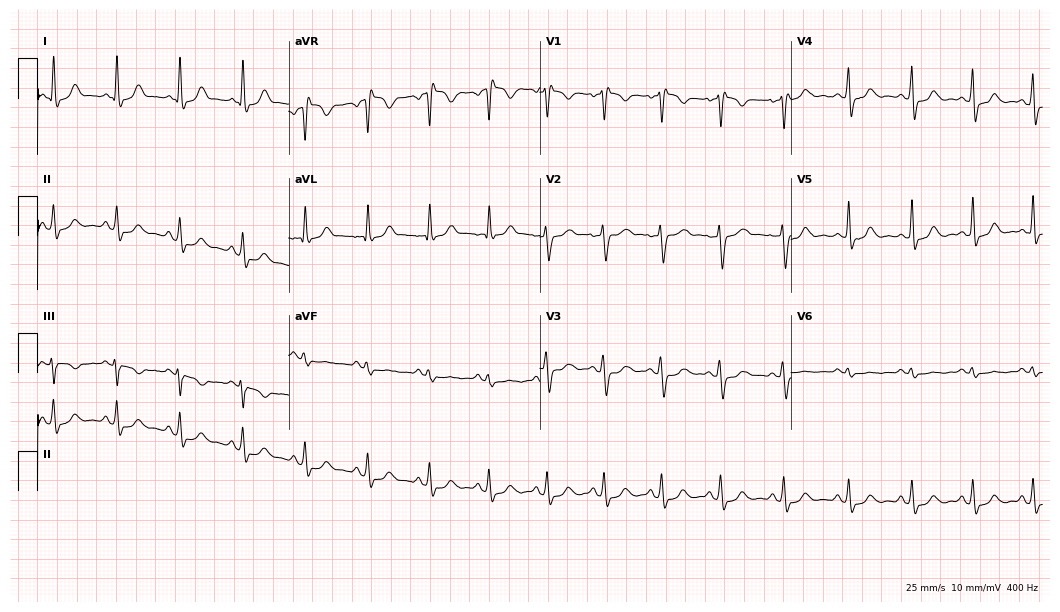
Electrocardiogram (10.2-second recording at 400 Hz), a female patient, 31 years old. Of the six screened findings (first-degree AV block, right bundle branch block, left bundle branch block, sinus bradycardia, atrial fibrillation, sinus tachycardia), none is recorded.